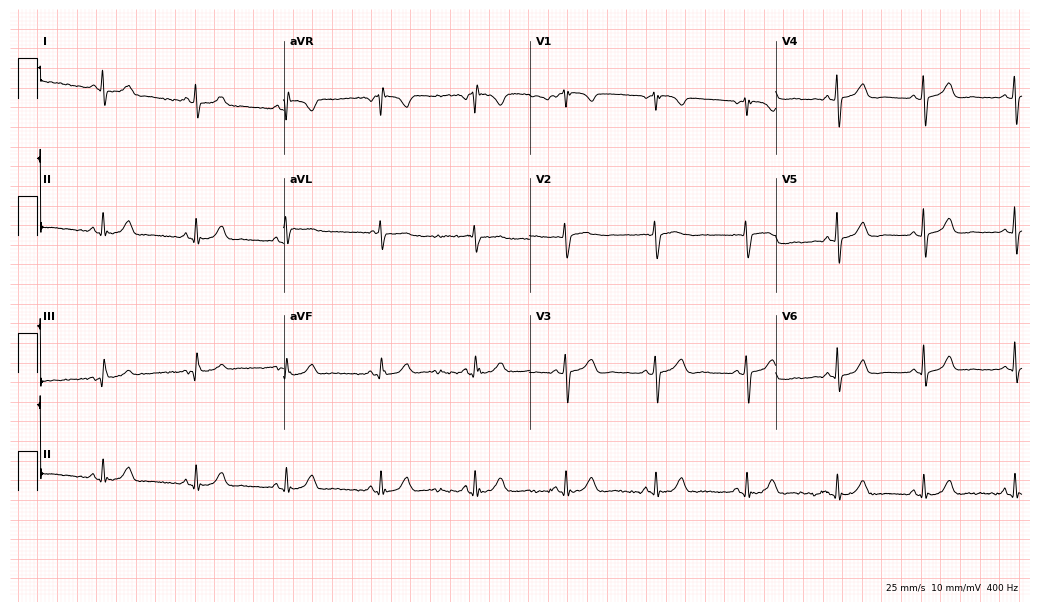
12-lead ECG from a 51-year-old male patient. Recorded interpretation: within normal limits.